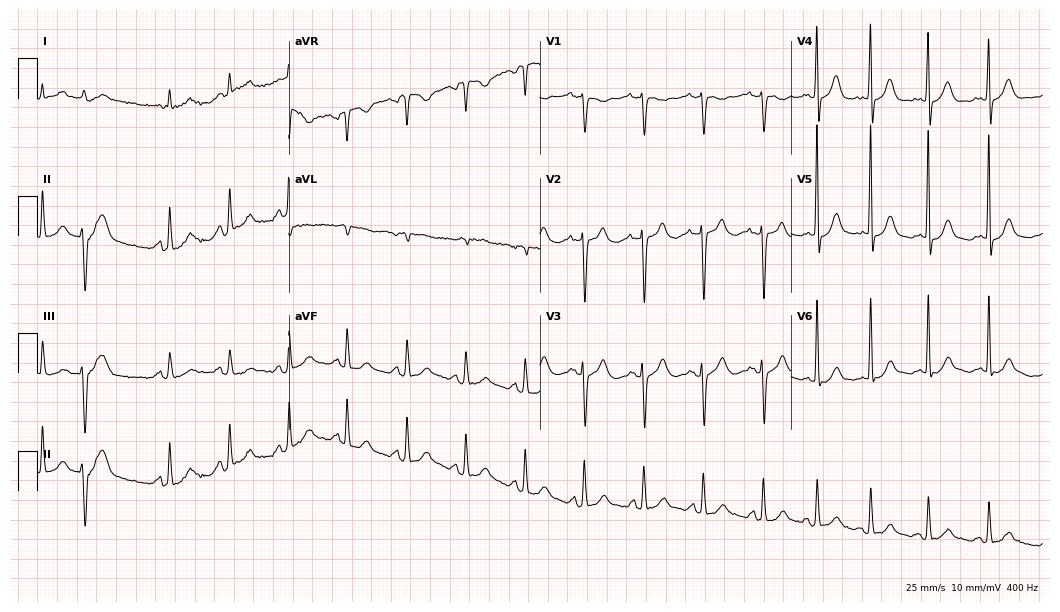
12-lead ECG from an 82-year-old female patient. No first-degree AV block, right bundle branch block, left bundle branch block, sinus bradycardia, atrial fibrillation or sinus tachycardia recorded for this tracing. Only these six findings were labelled.